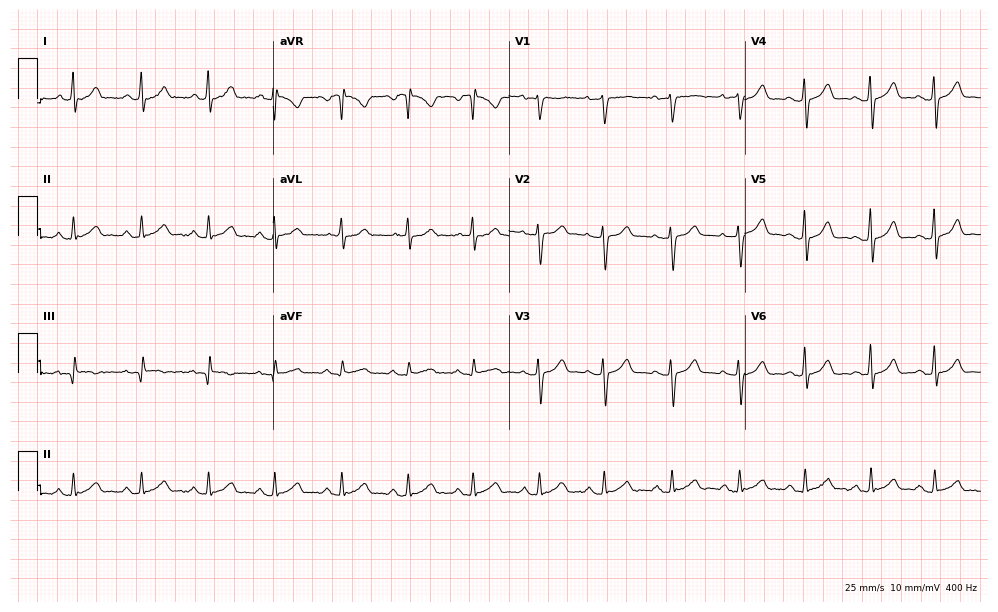
Resting 12-lead electrocardiogram (9.6-second recording at 400 Hz). Patient: a woman, 37 years old. Read as a normal ECG.